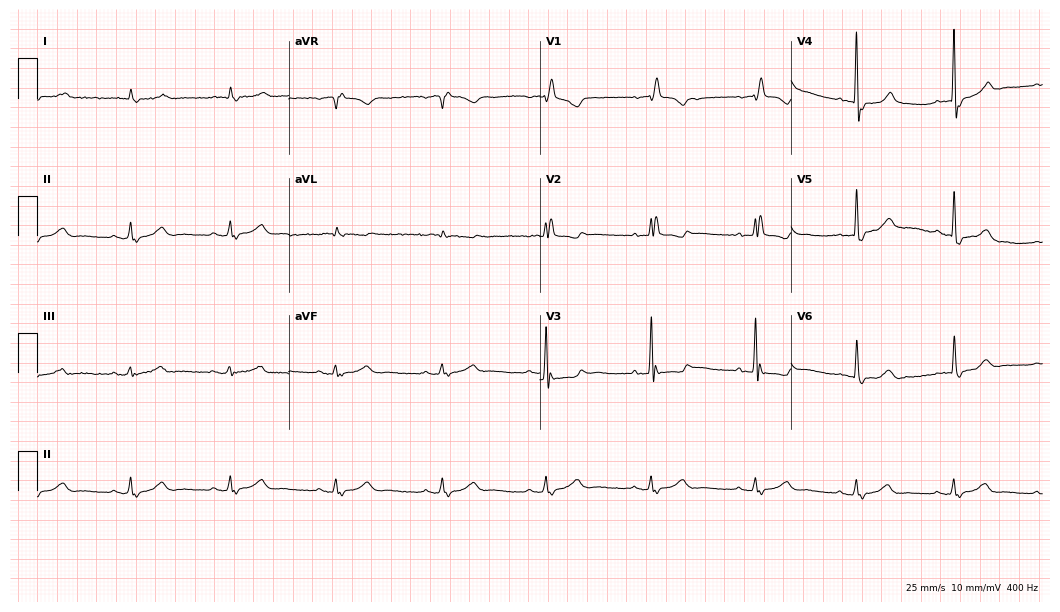
ECG (10.2-second recording at 400 Hz) — a male patient, 84 years old. Findings include right bundle branch block.